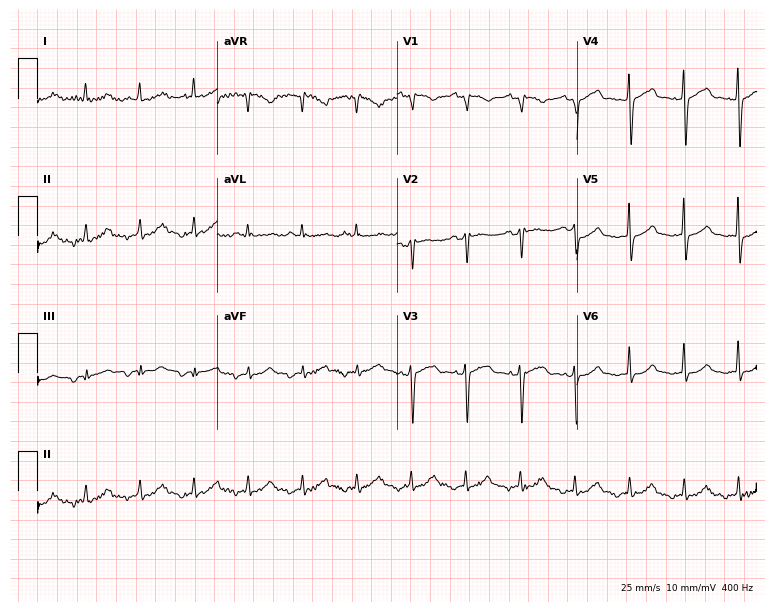
Standard 12-lead ECG recorded from a 67-year-old female. The tracing shows sinus tachycardia (a sinus rate of 100 beats per minute or more).